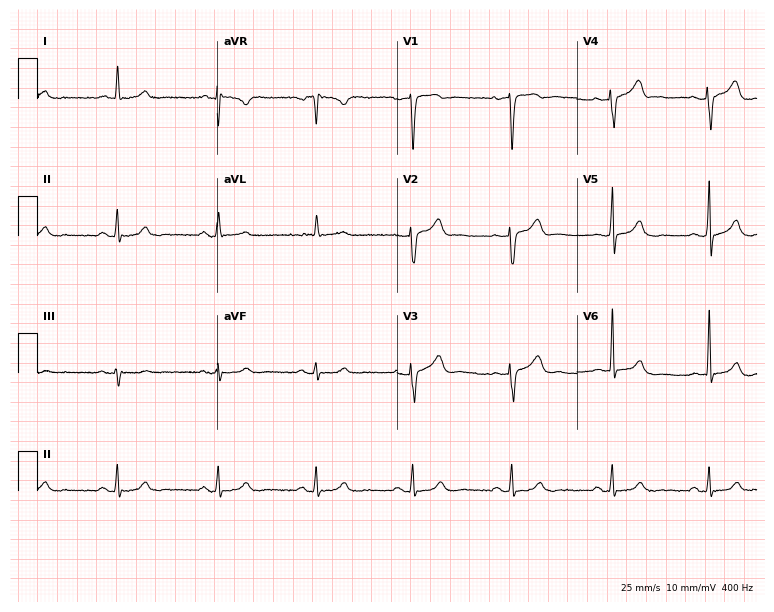
Electrocardiogram (7.3-second recording at 400 Hz), a 77-year-old male. Of the six screened findings (first-degree AV block, right bundle branch block, left bundle branch block, sinus bradycardia, atrial fibrillation, sinus tachycardia), none is recorded.